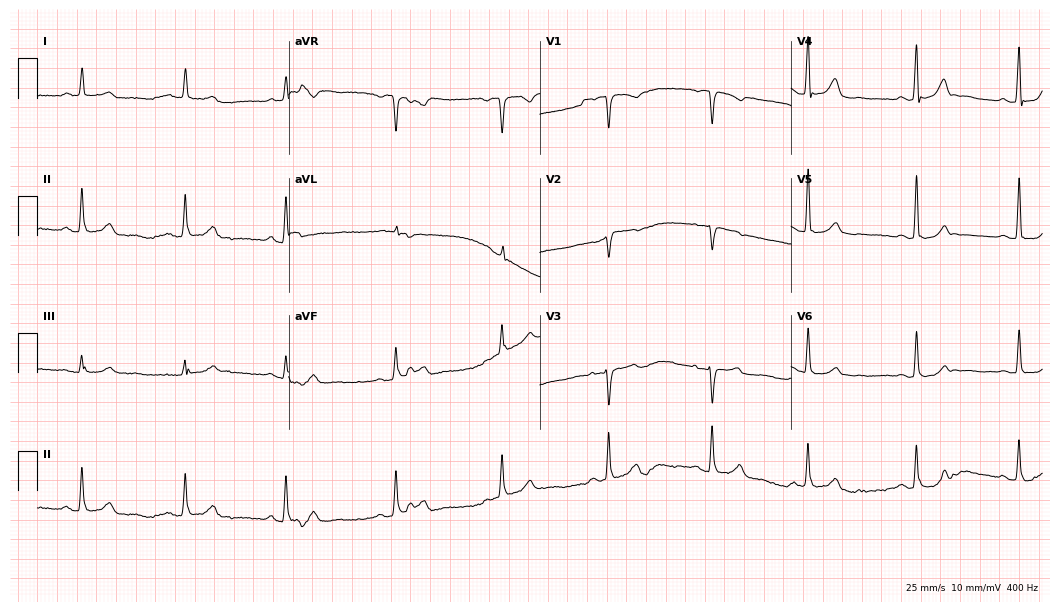
Electrocardiogram (10.2-second recording at 400 Hz), a woman, 78 years old. Overall reading on record: normal ECG.